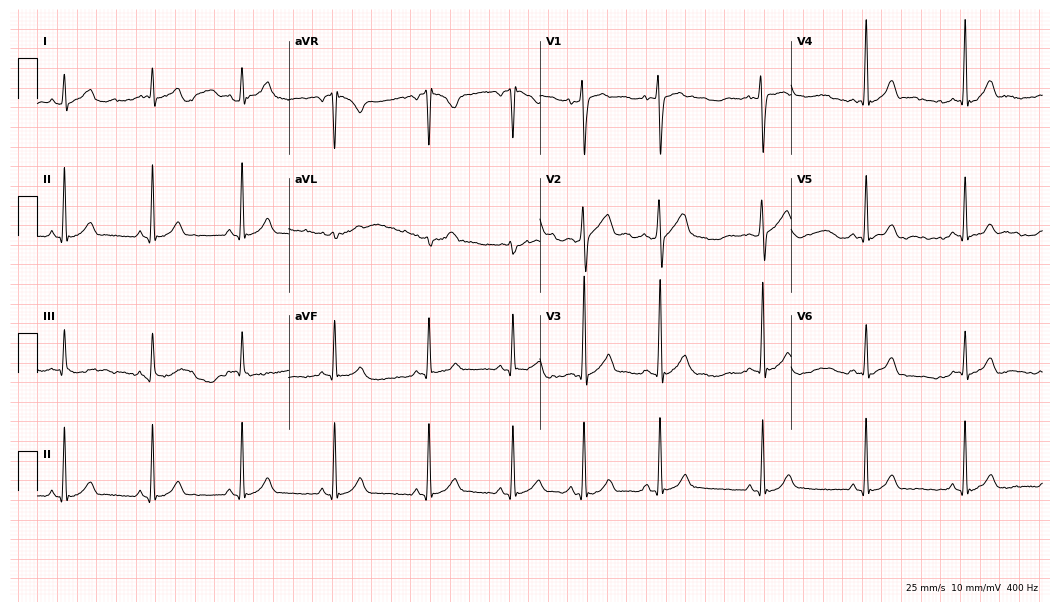
Standard 12-lead ECG recorded from an 18-year-old man. Read as a normal ECG.